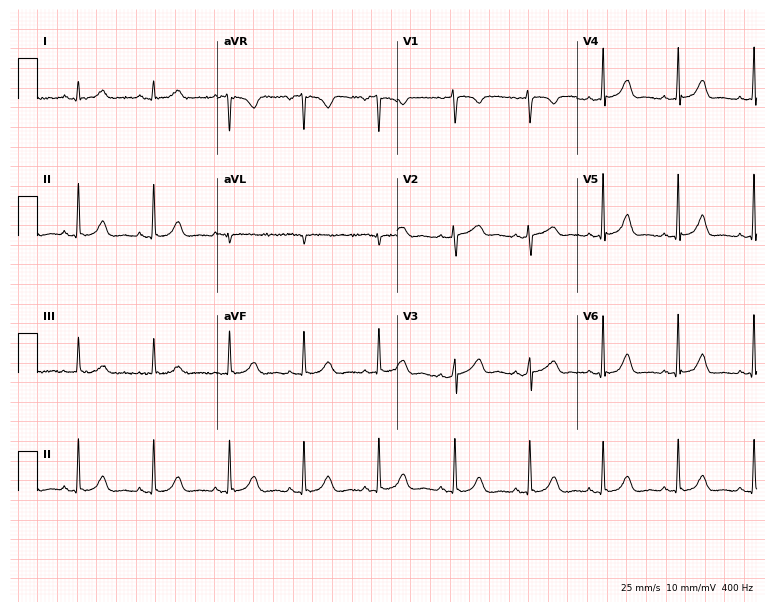
Standard 12-lead ECG recorded from a woman, 30 years old (7.3-second recording at 400 Hz). Read as a normal ECG.